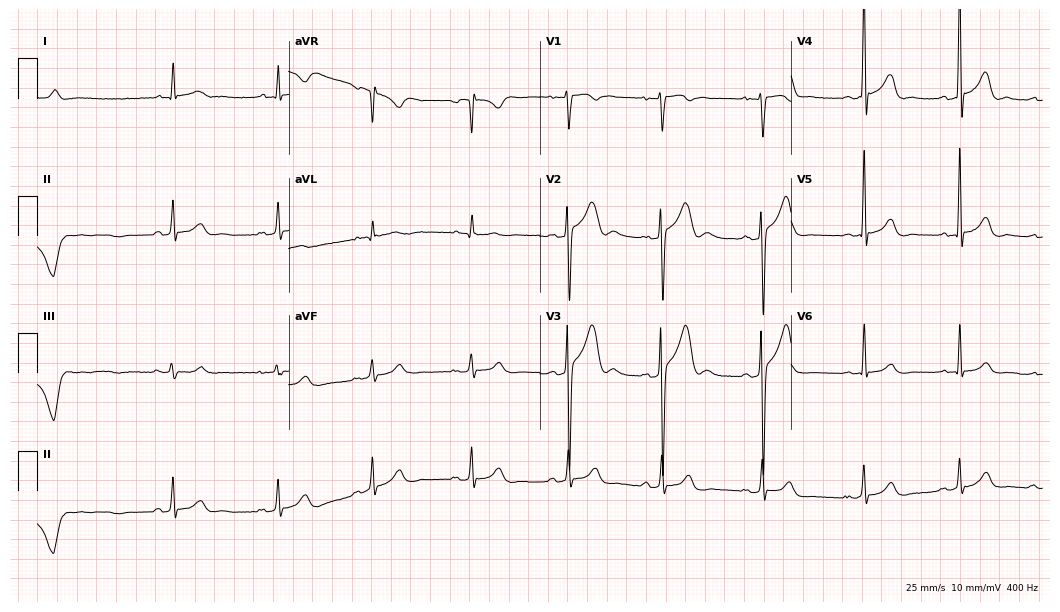
Electrocardiogram, a 20-year-old male patient. Of the six screened findings (first-degree AV block, right bundle branch block, left bundle branch block, sinus bradycardia, atrial fibrillation, sinus tachycardia), none is recorded. Only these six findings were labelled.